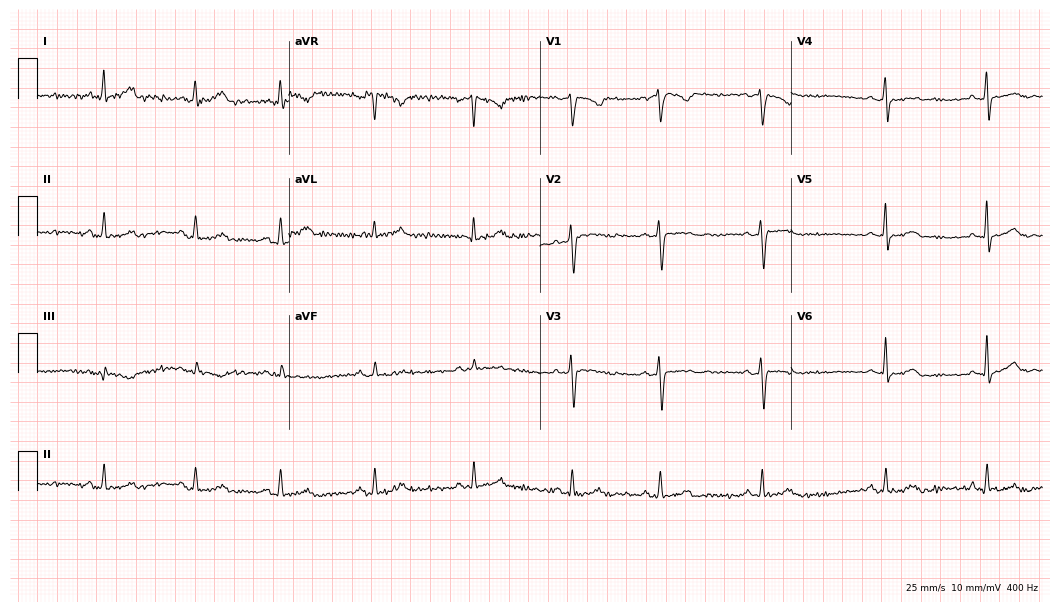
Standard 12-lead ECG recorded from a female, 28 years old. None of these six findings is recorded: first-degree AV block, right bundle branch block, left bundle branch block, sinus bradycardia, atrial fibrillation, sinus tachycardia.